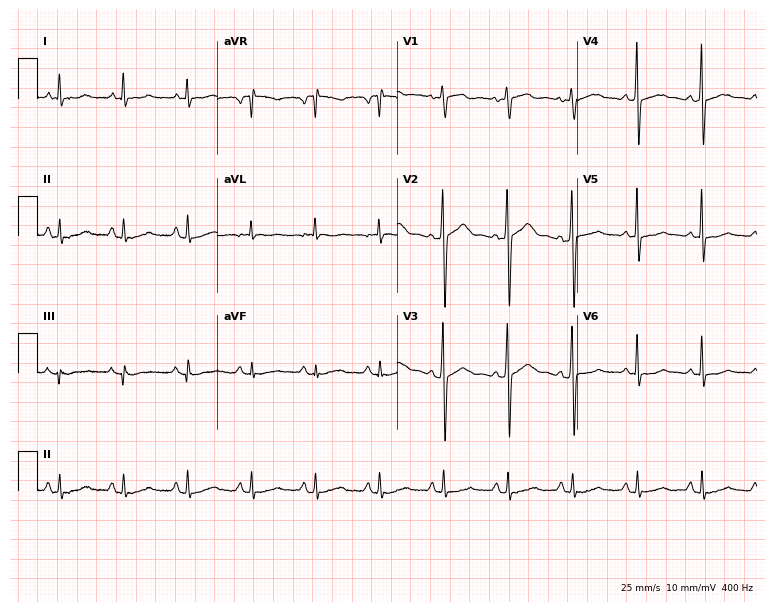
12-lead ECG (7.3-second recording at 400 Hz) from a 57-year-old male. Screened for six findings — first-degree AV block, right bundle branch block, left bundle branch block, sinus bradycardia, atrial fibrillation, sinus tachycardia — none is recorded.